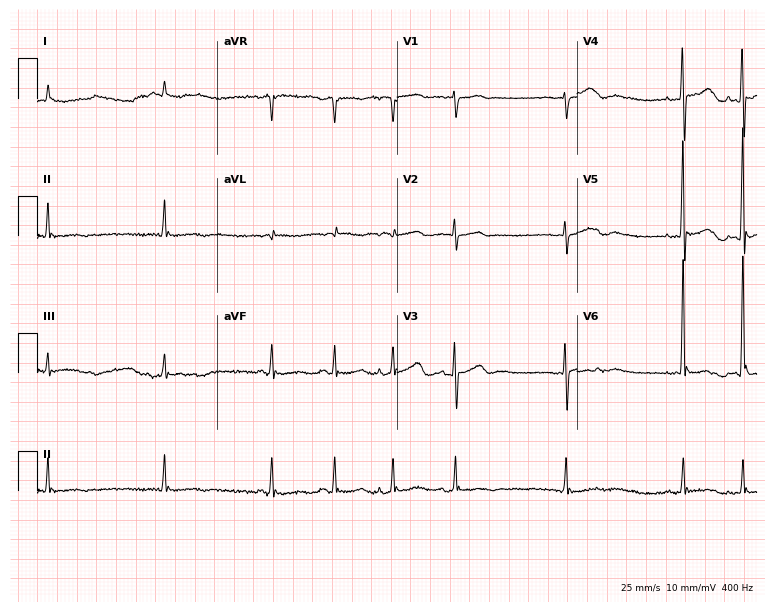
12-lead ECG from a man, 82 years old. Findings include atrial fibrillation.